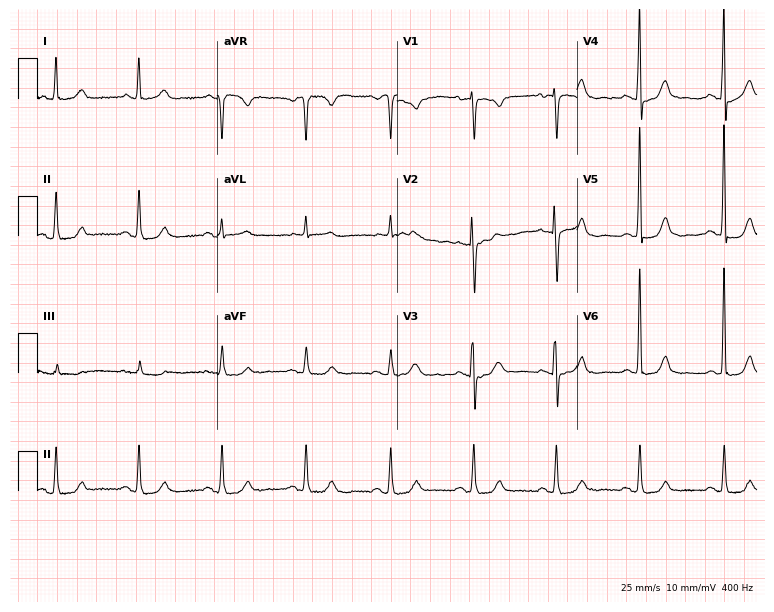
Resting 12-lead electrocardiogram. Patient: a female, 66 years old. None of these six findings is recorded: first-degree AV block, right bundle branch block, left bundle branch block, sinus bradycardia, atrial fibrillation, sinus tachycardia.